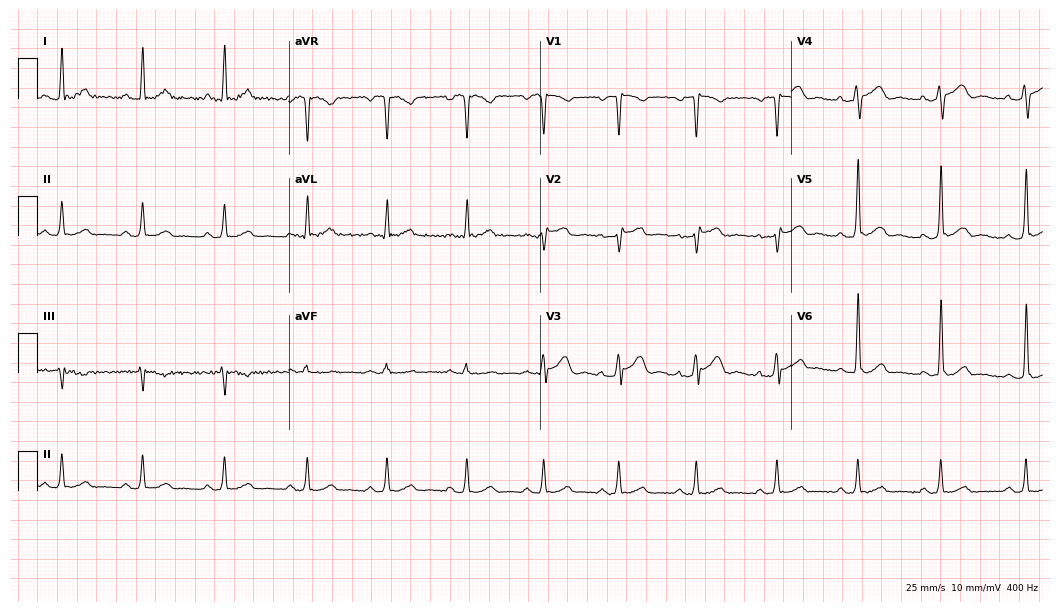
Standard 12-lead ECG recorded from a 53-year-old male patient. None of these six findings is recorded: first-degree AV block, right bundle branch block, left bundle branch block, sinus bradycardia, atrial fibrillation, sinus tachycardia.